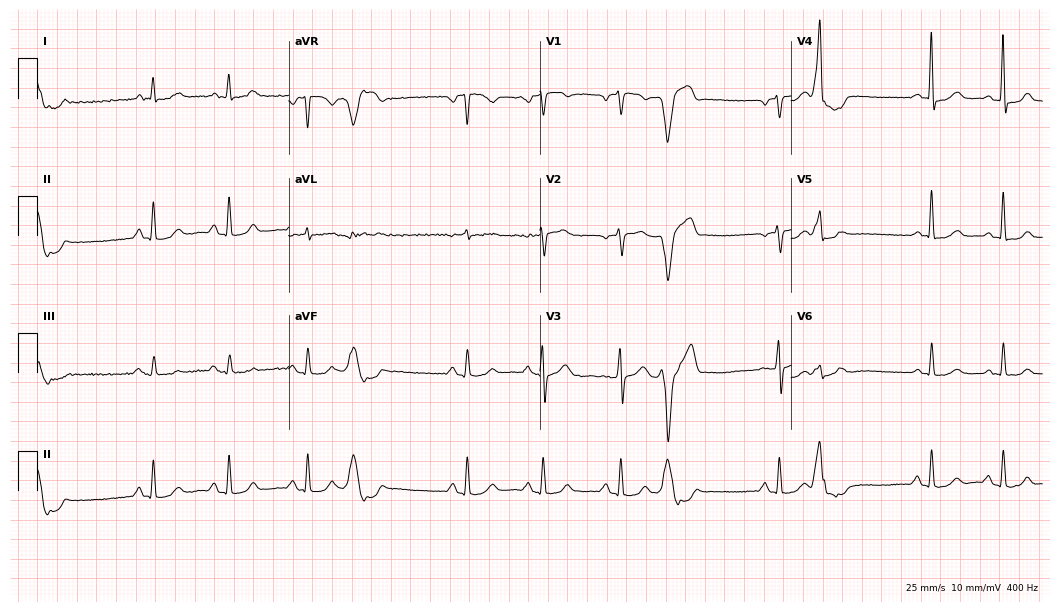
ECG (10.2-second recording at 400 Hz) — a man, 76 years old. Screened for six findings — first-degree AV block, right bundle branch block, left bundle branch block, sinus bradycardia, atrial fibrillation, sinus tachycardia — none is recorded. Findings outside these six are not listed.